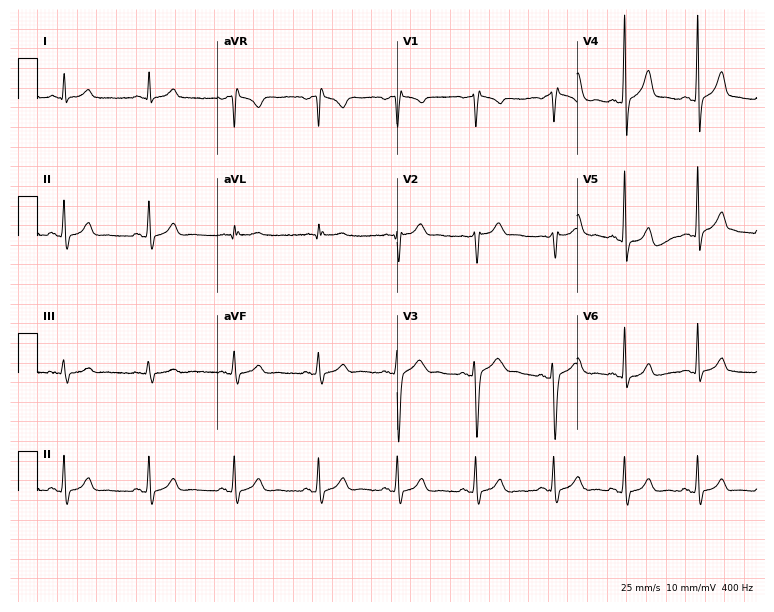
Electrocardiogram (7.3-second recording at 400 Hz), a male patient, 25 years old. Overall reading on record: normal ECG.